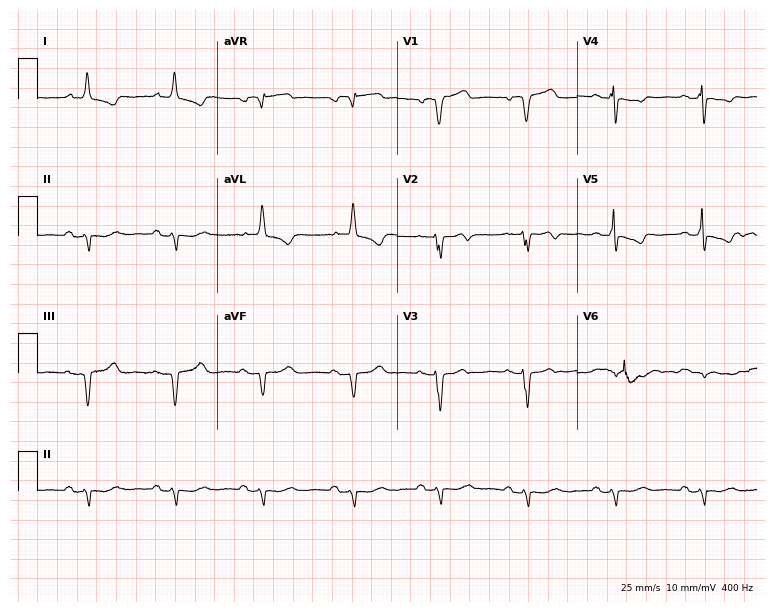
Standard 12-lead ECG recorded from a 61-year-old male (7.3-second recording at 400 Hz). None of these six findings is recorded: first-degree AV block, right bundle branch block, left bundle branch block, sinus bradycardia, atrial fibrillation, sinus tachycardia.